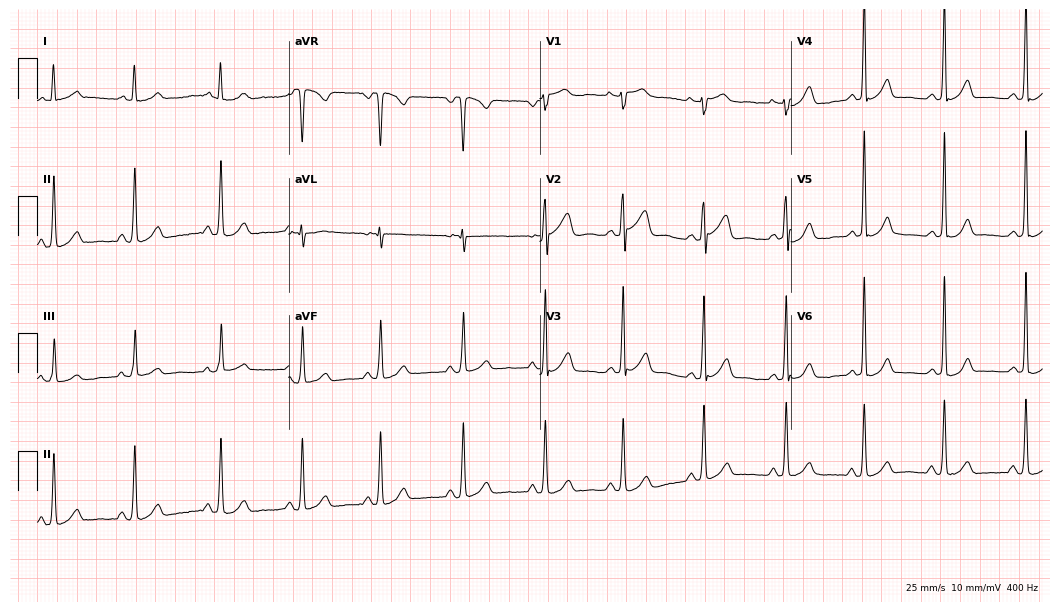
ECG — a female, 32 years old. Labelled as a normal ECG.